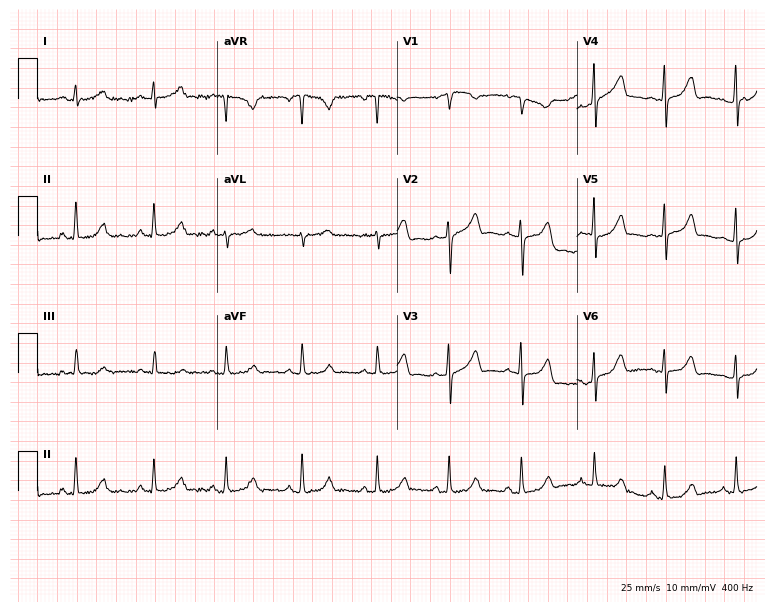
Electrocardiogram (7.3-second recording at 400 Hz), an 18-year-old female. Of the six screened findings (first-degree AV block, right bundle branch block, left bundle branch block, sinus bradycardia, atrial fibrillation, sinus tachycardia), none is recorded.